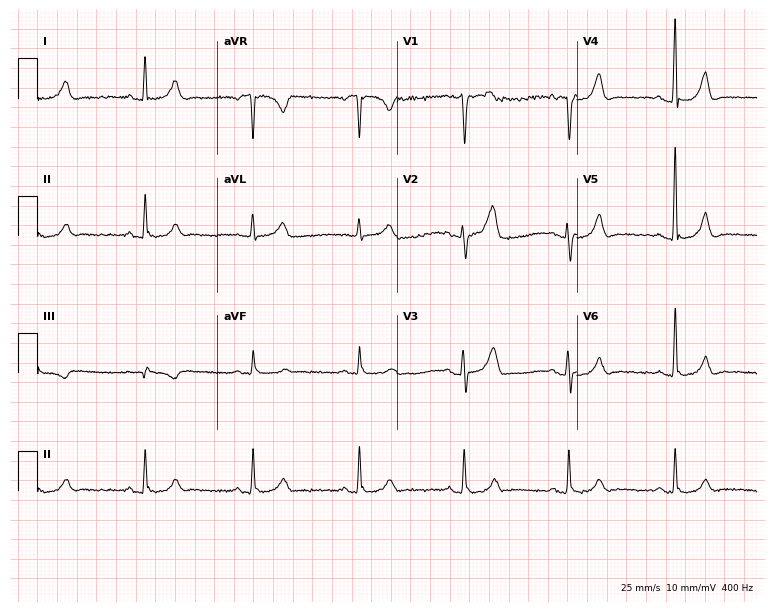
ECG — a man, 46 years old. Labelled as a normal ECG.